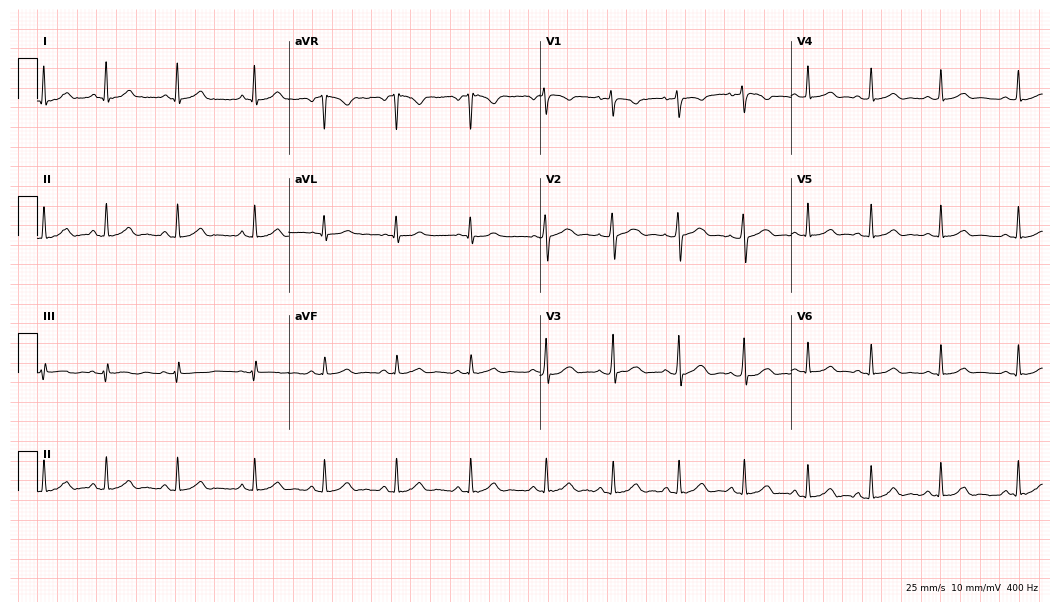
ECG — a woman, 18 years old. Labelled as a normal ECG.